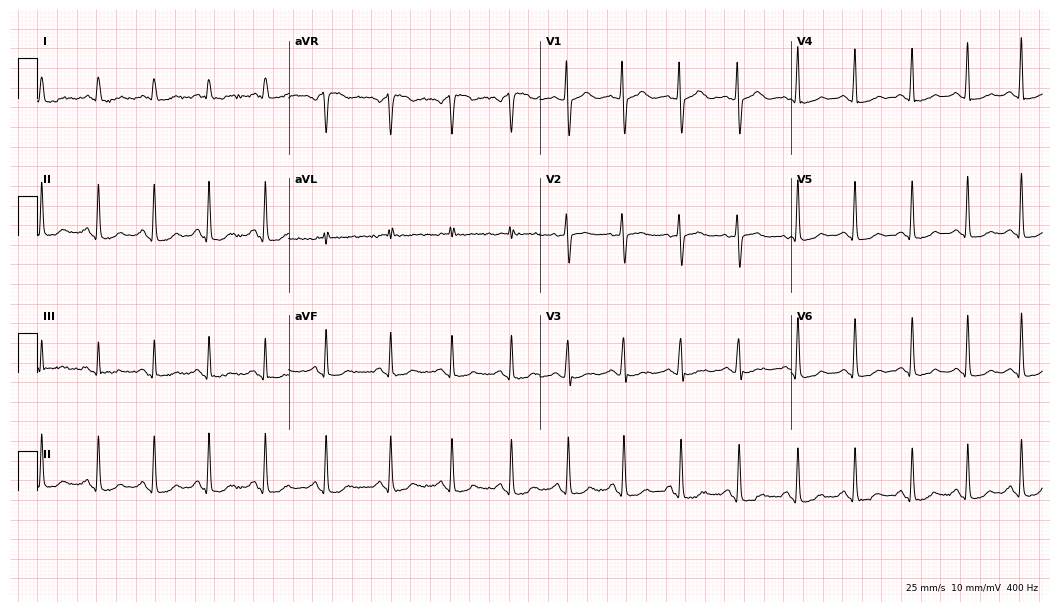
ECG (10.2-second recording at 400 Hz) — a 67-year-old female. Findings include sinus tachycardia (a sinus rate of 100 beats per minute or more).